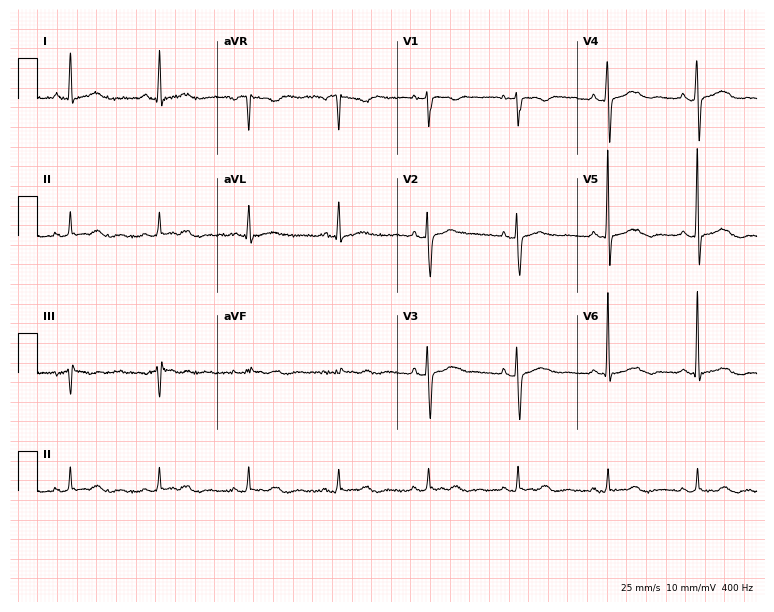
ECG (7.3-second recording at 400 Hz) — a female patient, 79 years old. Screened for six findings — first-degree AV block, right bundle branch block (RBBB), left bundle branch block (LBBB), sinus bradycardia, atrial fibrillation (AF), sinus tachycardia — none is recorded. Only these six findings were labelled.